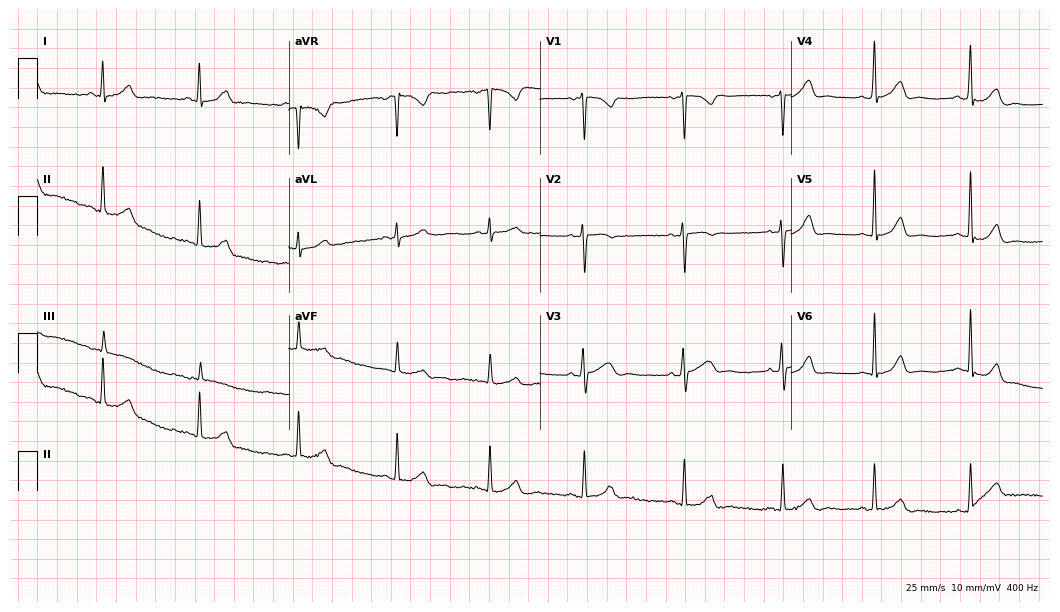
Electrocardiogram (10.2-second recording at 400 Hz), a 27-year-old female. Overall reading on record: normal ECG.